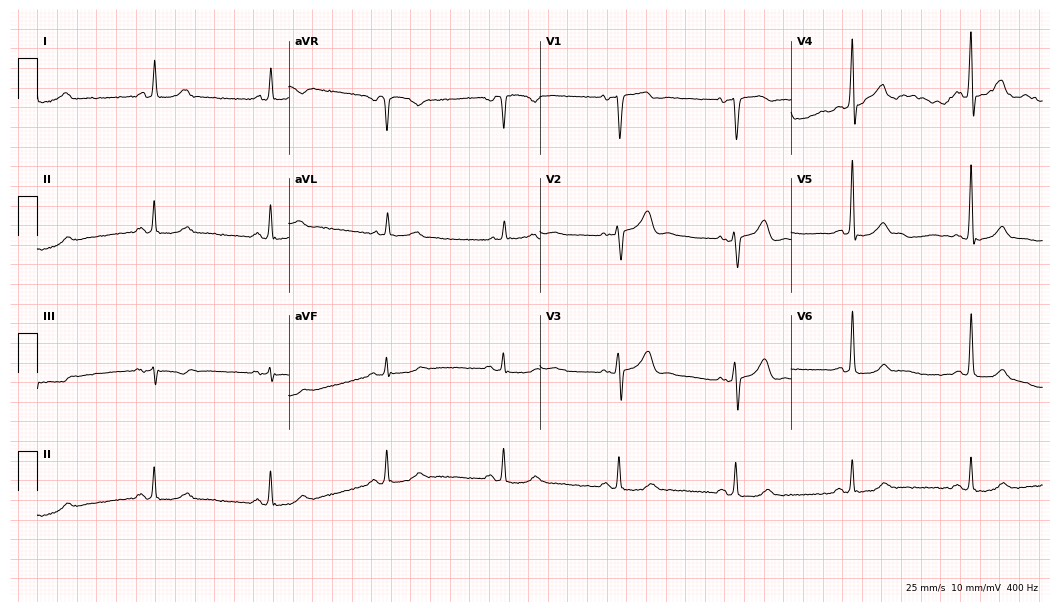
12-lead ECG from a male patient, 82 years old. Recorded interpretation: within normal limits.